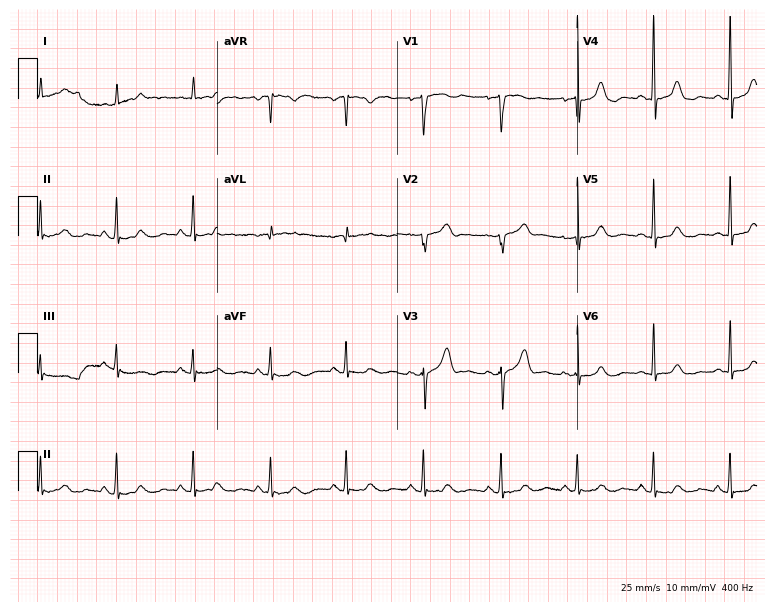
12-lead ECG (7.3-second recording at 400 Hz) from a female, 68 years old. Screened for six findings — first-degree AV block, right bundle branch block, left bundle branch block, sinus bradycardia, atrial fibrillation, sinus tachycardia — none is recorded. Only these six findings were labelled.